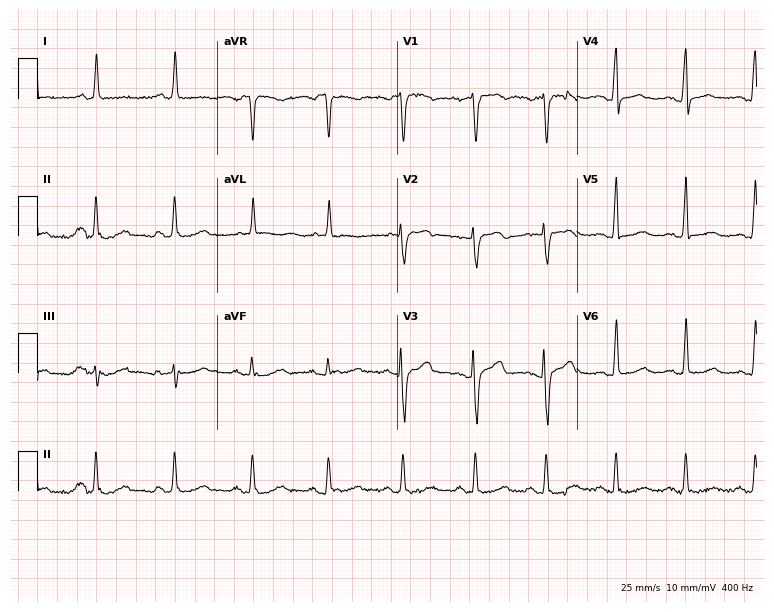
ECG (7.3-second recording at 400 Hz) — a 42-year-old male patient. Screened for six findings — first-degree AV block, right bundle branch block, left bundle branch block, sinus bradycardia, atrial fibrillation, sinus tachycardia — none is recorded.